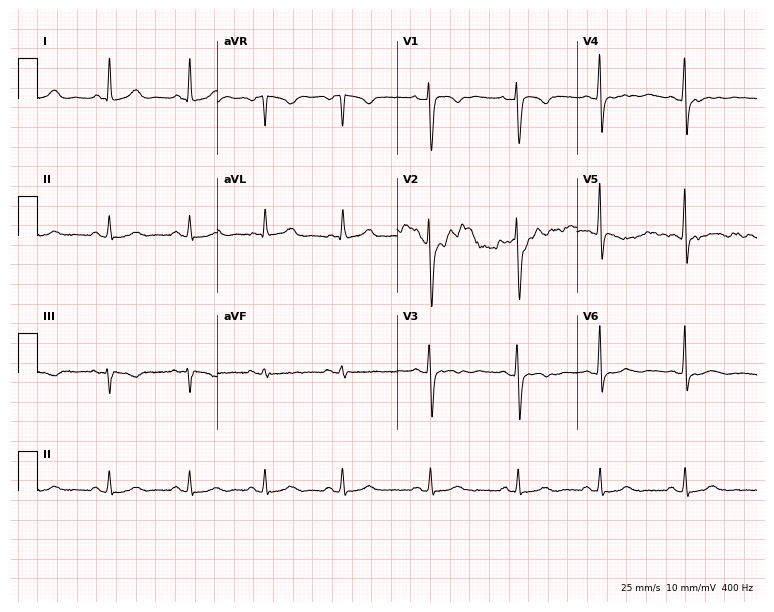
Resting 12-lead electrocardiogram (7.3-second recording at 400 Hz). Patient: a woman, 48 years old. None of these six findings is recorded: first-degree AV block, right bundle branch block, left bundle branch block, sinus bradycardia, atrial fibrillation, sinus tachycardia.